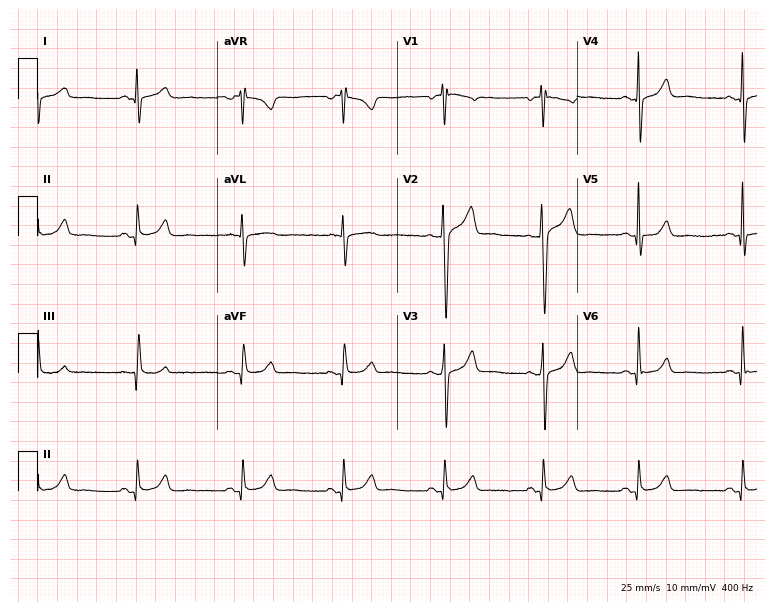
12-lead ECG from a 37-year-old man. Labelled as a normal ECG.